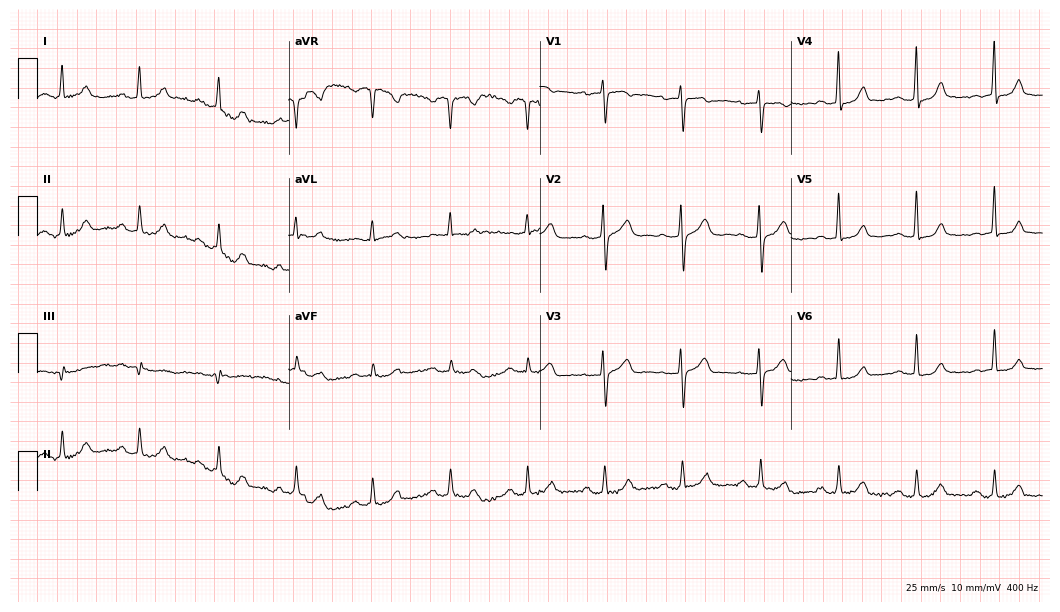
ECG — a 48-year-old female. Screened for six findings — first-degree AV block, right bundle branch block (RBBB), left bundle branch block (LBBB), sinus bradycardia, atrial fibrillation (AF), sinus tachycardia — none is recorded.